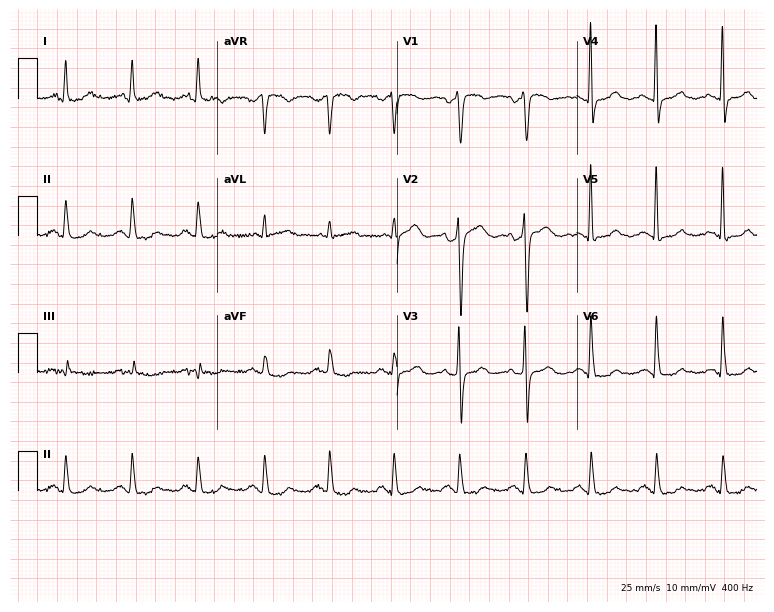
12-lead ECG from a female, 52 years old. Labelled as a normal ECG.